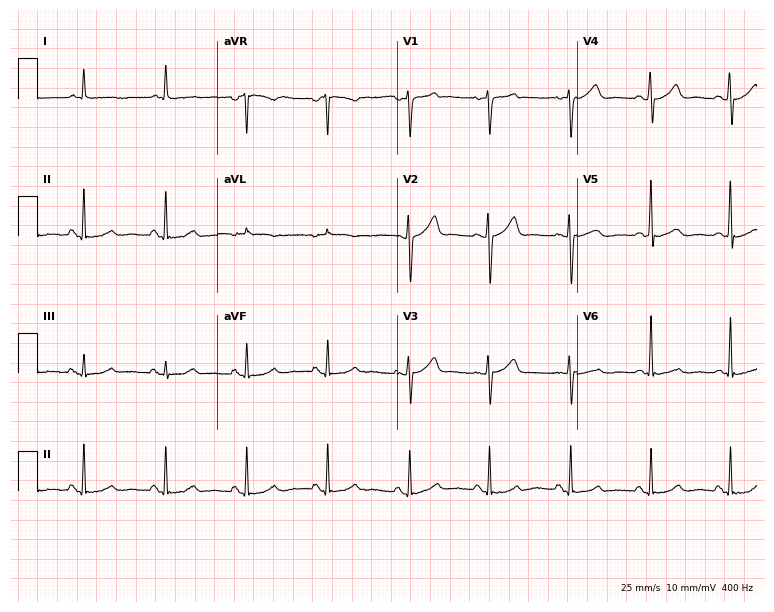
ECG (7.3-second recording at 400 Hz) — a male patient, 50 years old. Labelled as a normal ECG.